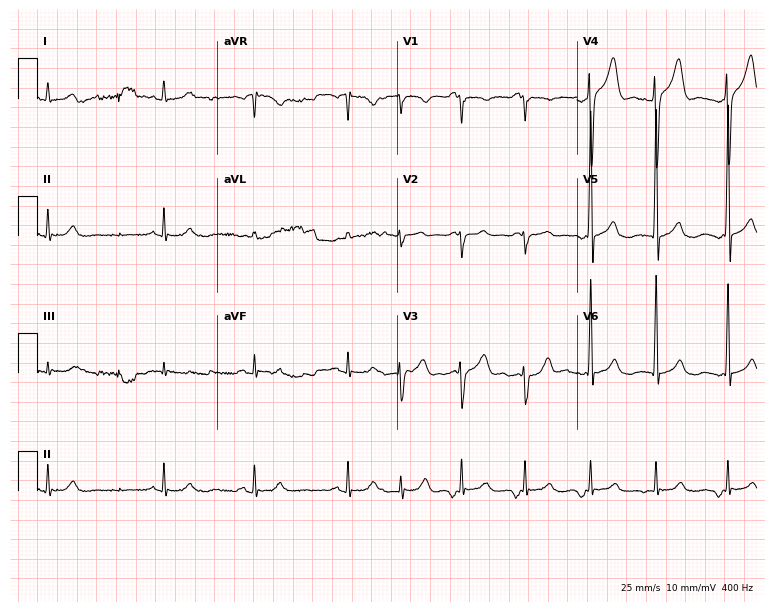
ECG — a 75-year-old male patient. Screened for six findings — first-degree AV block, right bundle branch block, left bundle branch block, sinus bradycardia, atrial fibrillation, sinus tachycardia — none is recorded.